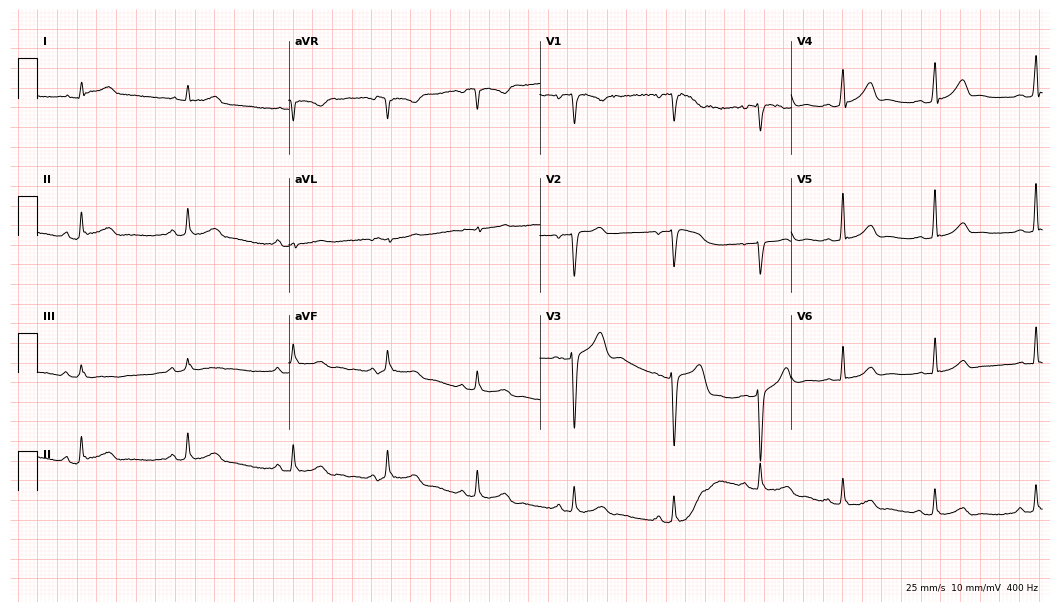
12-lead ECG from a man, 25 years old (10.2-second recording at 400 Hz). No first-degree AV block, right bundle branch block, left bundle branch block, sinus bradycardia, atrial fibrillation or sinus tachycardia recorded for this tracing. Only these six findings were labelled.